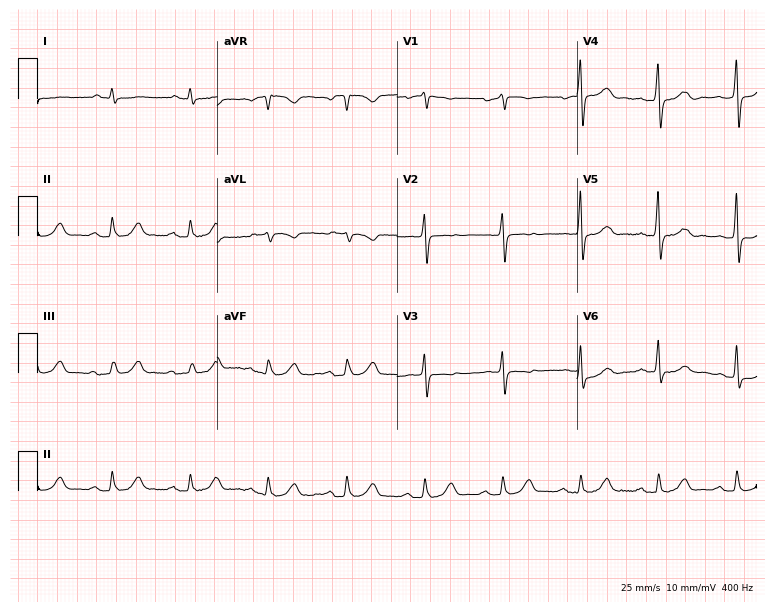
Standard 12-lead ECG recorded from an 85-year-old male (7.3-second recording at 400 Hz). None of these six findings is recorded: first-degree AV block, right bundle branch block, left bundle branch block, sinus bradycardia, atrial fibrillation, sinus tachycardia.